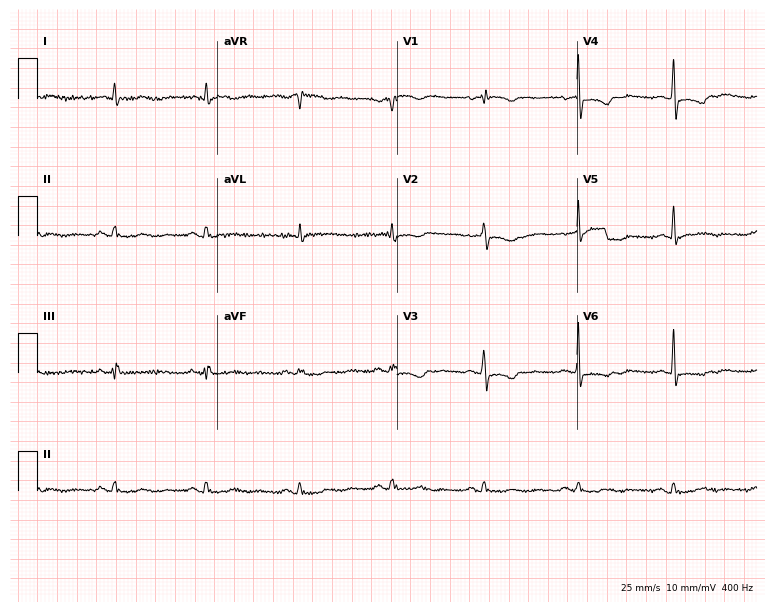
Resting 12-lead electrocardiogram (7.3-second recording at 400 Hz). Patient: a woman, 71 years old. None of these six findings is recorded: first-degree AV block, right bundle branch block, left bundle branch block, sinus bradycardia, atrial fibrillation, sinus tachycardia.